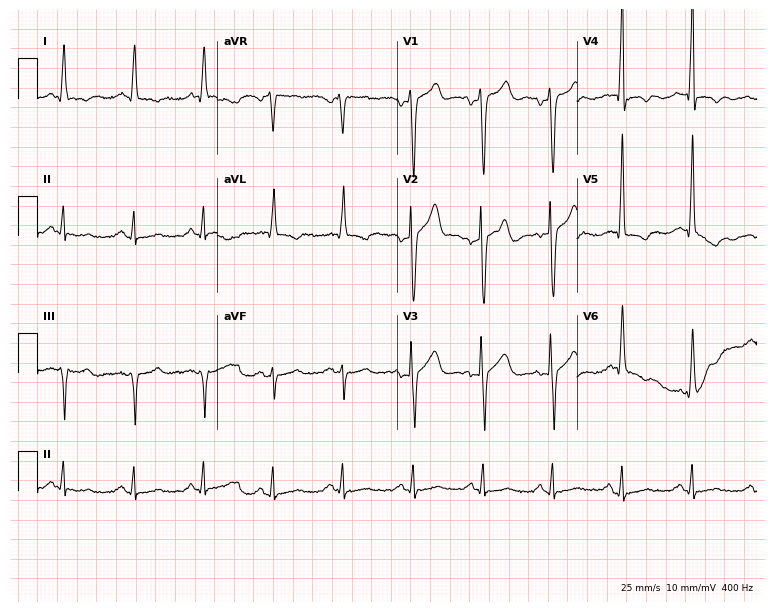
12-lead ECG from a man, 68 years old. Labelled as a normal ECG.